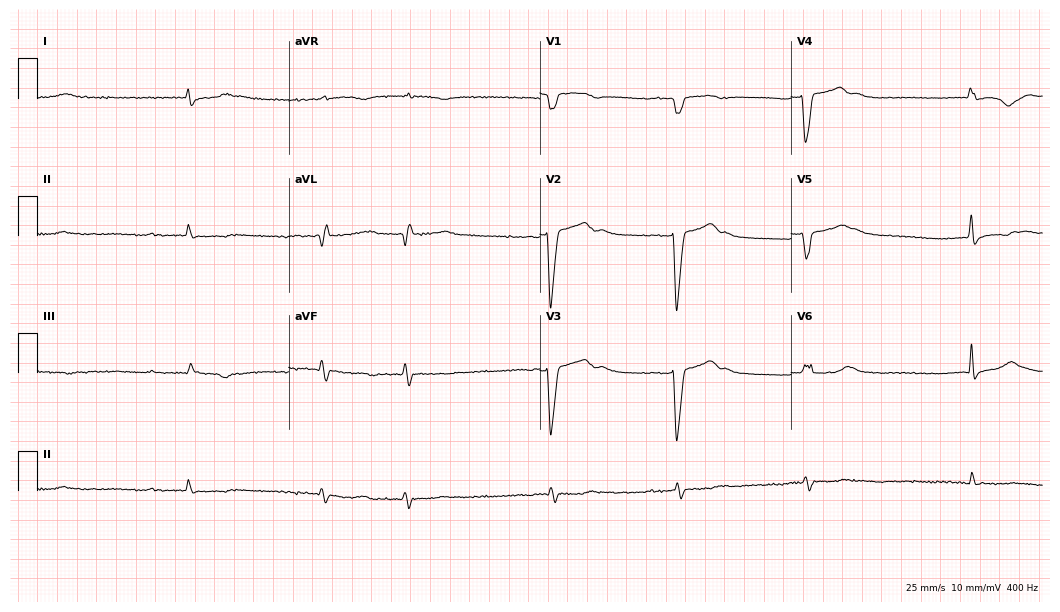
12-lead ECG from a woman, 75 years old. No first-degree AV block, right bundle branch block, left bundle branch block, sinus bradycardia, atrial fibrillation or sinus tachycardia recorded for this tracing.